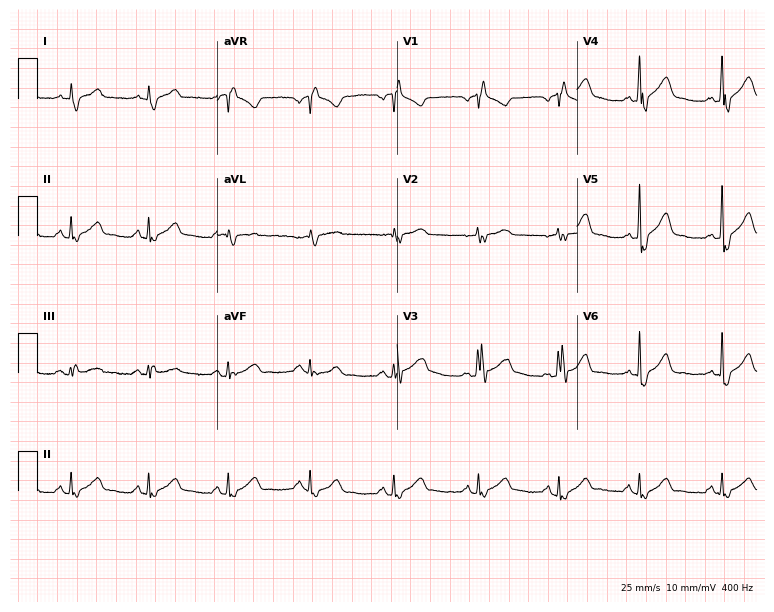
Resting 12-lead electrocardiogram (7.3-second recording at 400 Hz). Patient: a 49-year-old man. The tracing shows right bundle branch block.